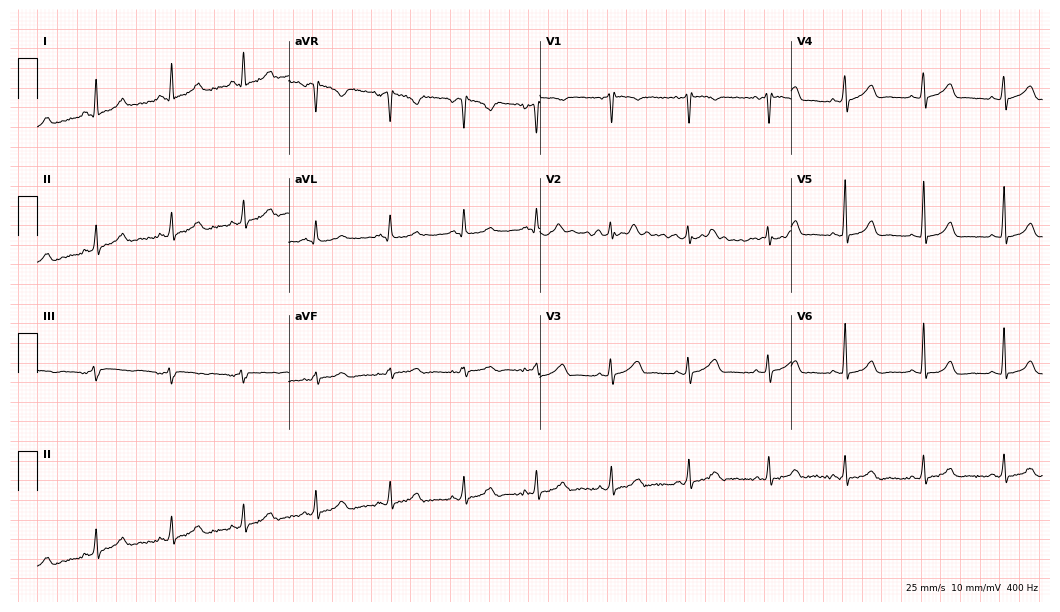
ECG (10.2-second recording at 400 Hz) — a woman, 47 years old. Labelled as a normal ECG.